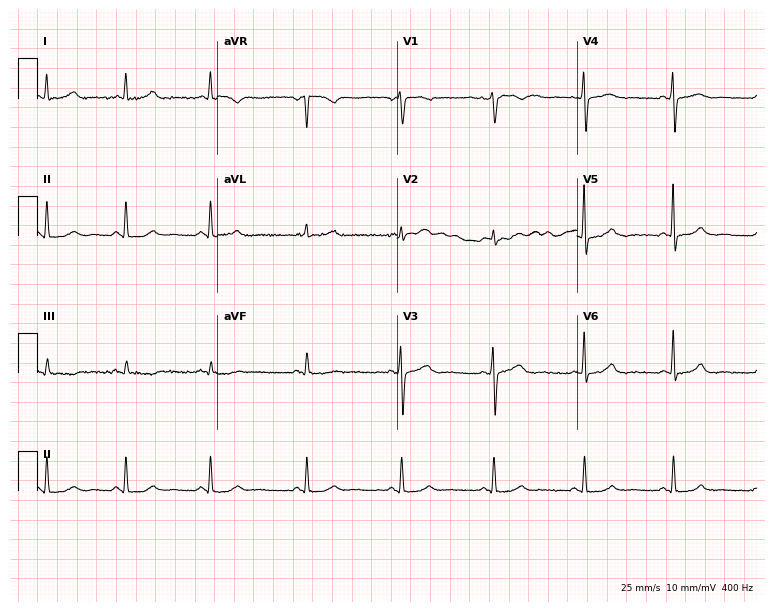
Standard 12-lead ECG recorded from a 51-year-old female (7.3-second recording at 400 Hz). None of these six findings is recorded: first-degree AV block, right bundle branch block, left bundle branch block, sinus bradycardia, atrial fibrillation, sinus tachycardia. Findings outside these six are not listed.